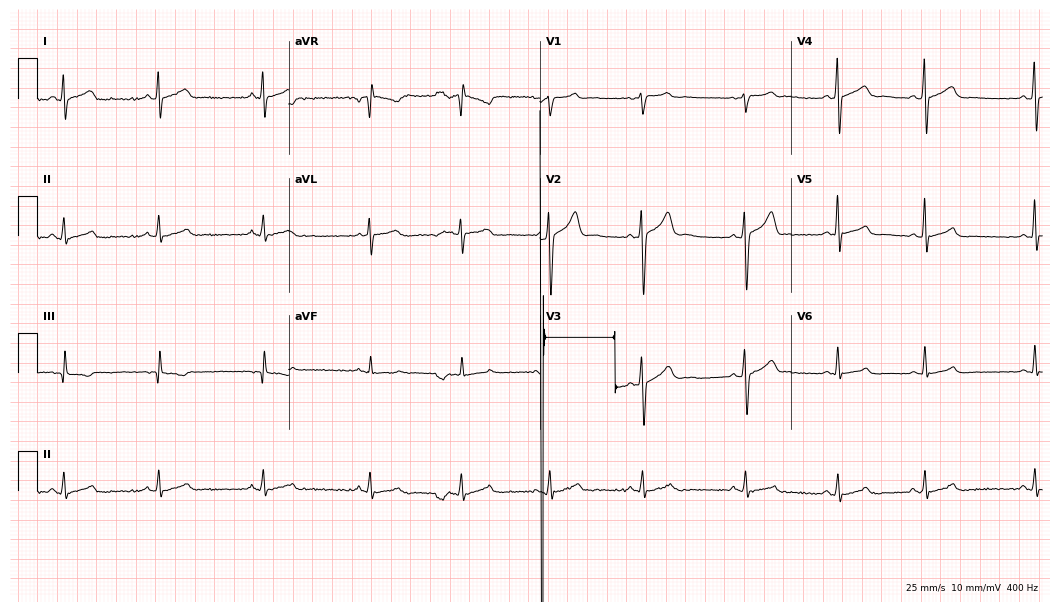
Standard 12-lead ECG recorded from a 28-year-old male (10.2-second recording at 400 Hz). Read as a normal ECG.